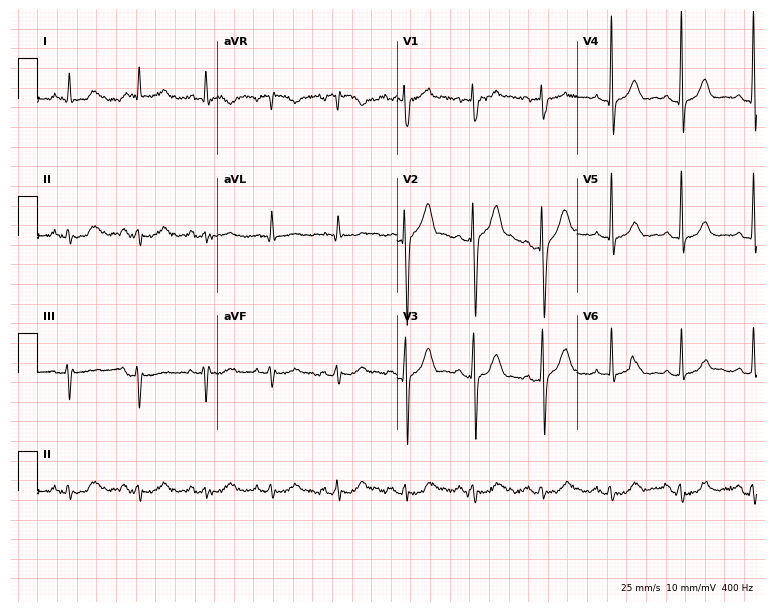
12-lead ECG from a 47-year-old woman (7.3-second recording at 400 Hz). Recorded interpretation: within normal limits.